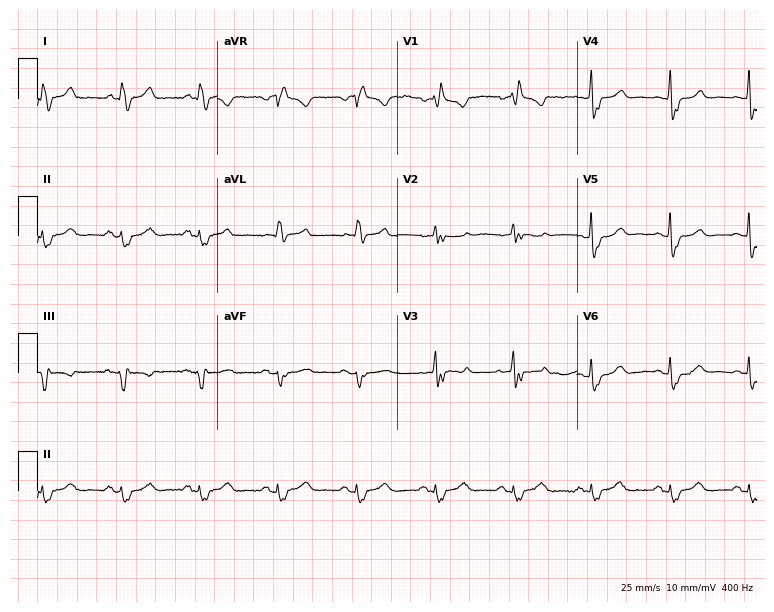
Electrocardiogram (7.3-second recording at 400 Hz), a female patient, 68 years old. Interpretation includes right bundle branch block.